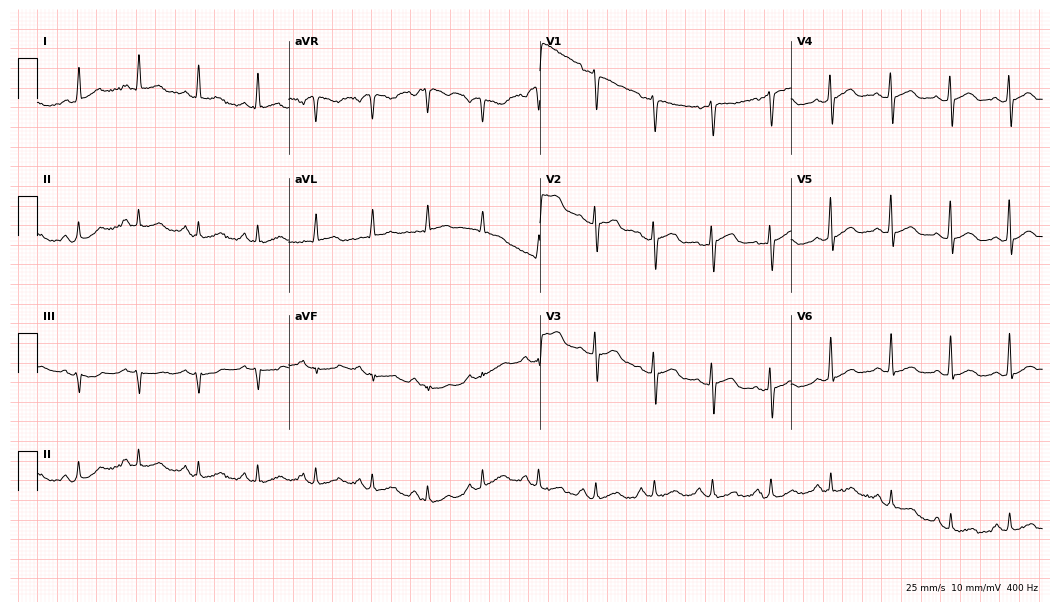
ECG — a 57-year-old female. Labelled as a normal ECG.